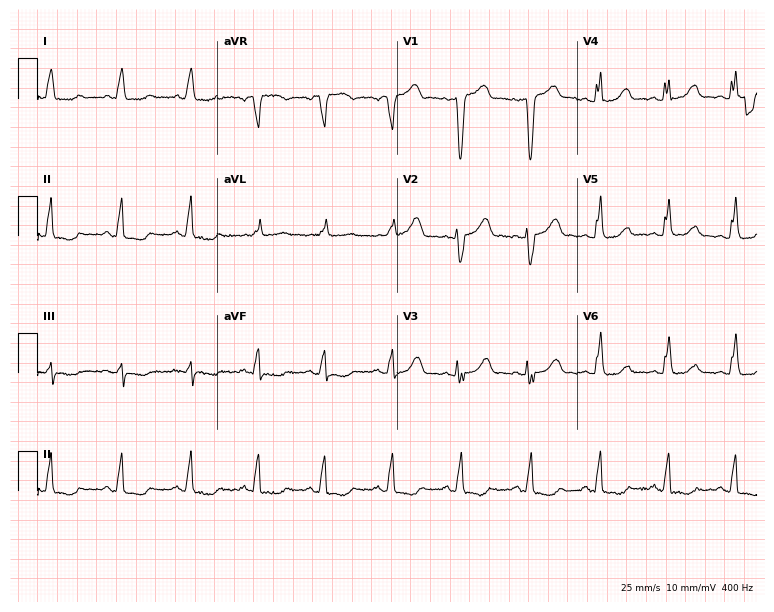
Resting 12-lead electrocardiogram (7.3-second recording at 400 Hz). Patient: an 81-year-old female. None of these six findings is recorded: first-degree AV block, right bundle branch block (RBBB), left bundle branch block (LBBB), sinus bradycardia, atrial fibrillation (AF), sinus tachycardia.